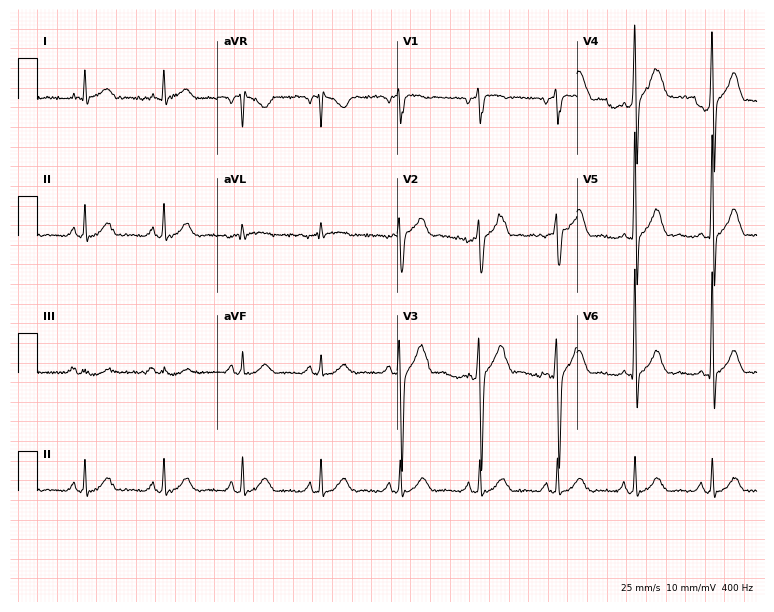
ECG — a 50-year-old male. Labelled as a normal ECG.